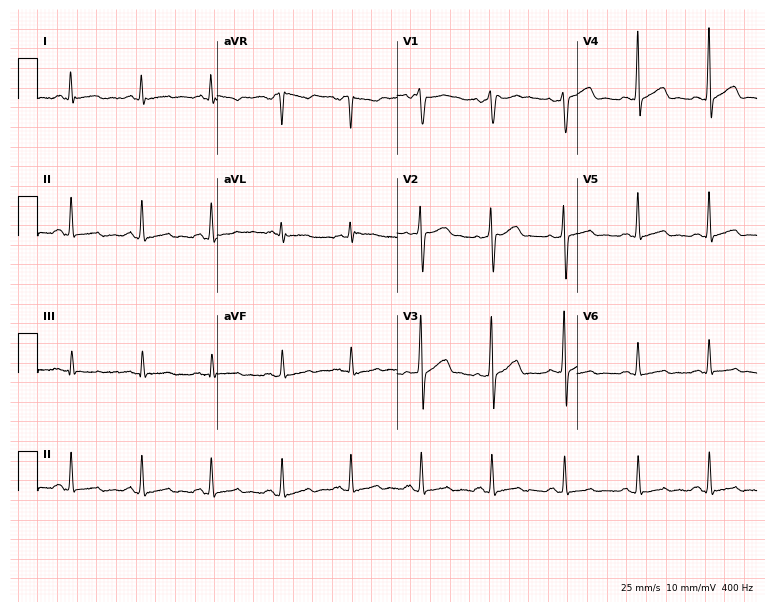
12-lead ECG from a 48-year-old man. Labelled as a normal ECG.